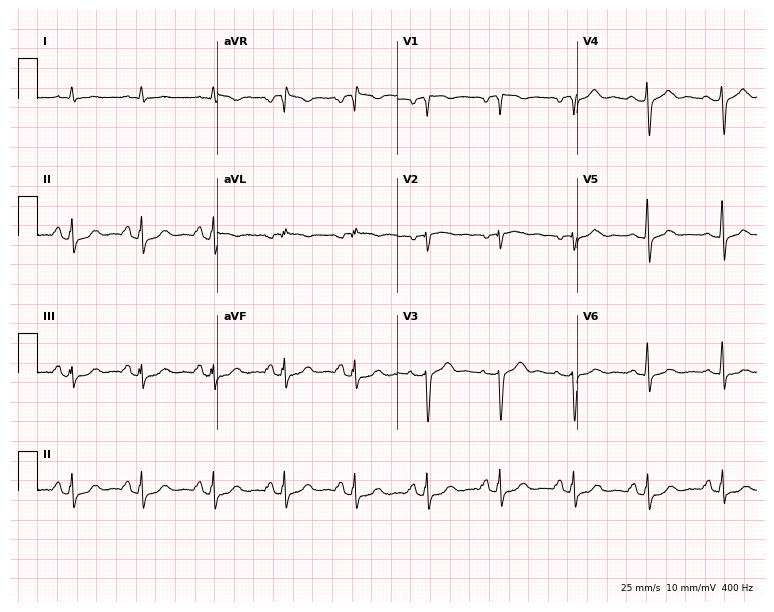
ECG (7.3-second recording at 400 Hz) — a male, 53 years old. Screened for six findings — first-degree AV block, right bundle branch block, left bundle branch block, sinus bradycardia, atrial fibrillation, sinus tachycardia — none is recorded.